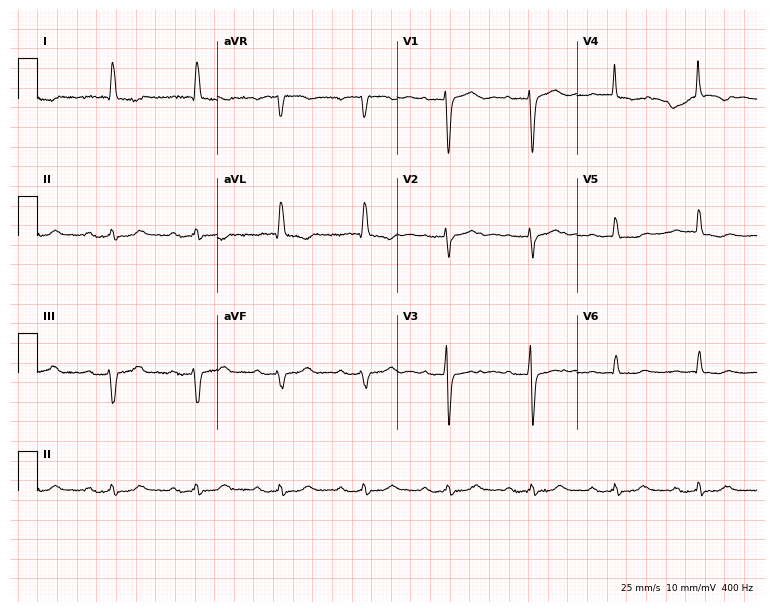
12-lead ECG (7.3-second recording at 400 Hz) from an 85-year-old female patient. Screened for six findings — first-degree AV block, right bundle branch block, left bundle branch block, sinus bradycardia, atrial fibrillation, sinus tachycardia — none is recorded. Only these six findings were labelled.